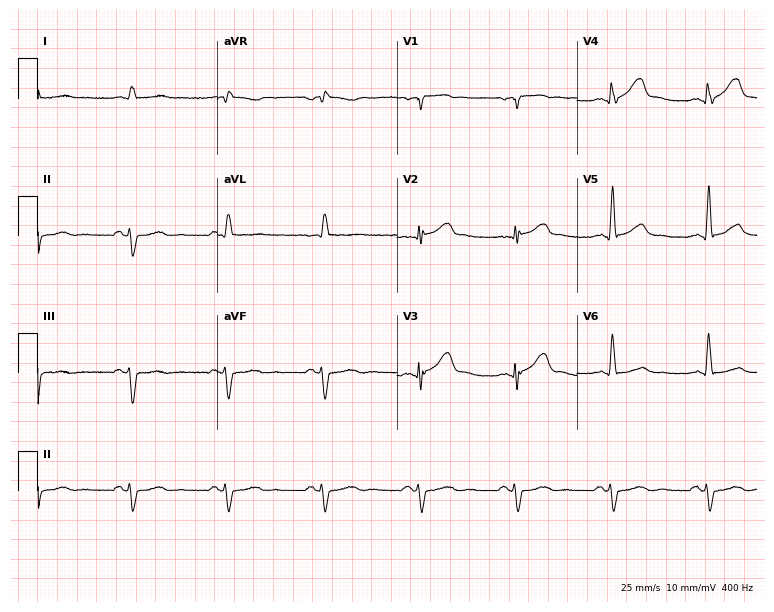
Standard 12-lead ECG recorded from a man, 62 years old (7.3-second recording at 400 Hz). None of these six findings is recorded: first-degree AV block, right bundle branch block (RBBB), left bundle branch block (LBBB), sinus bradycardia, atrial fibrillation (AF), sinus tachycardia.